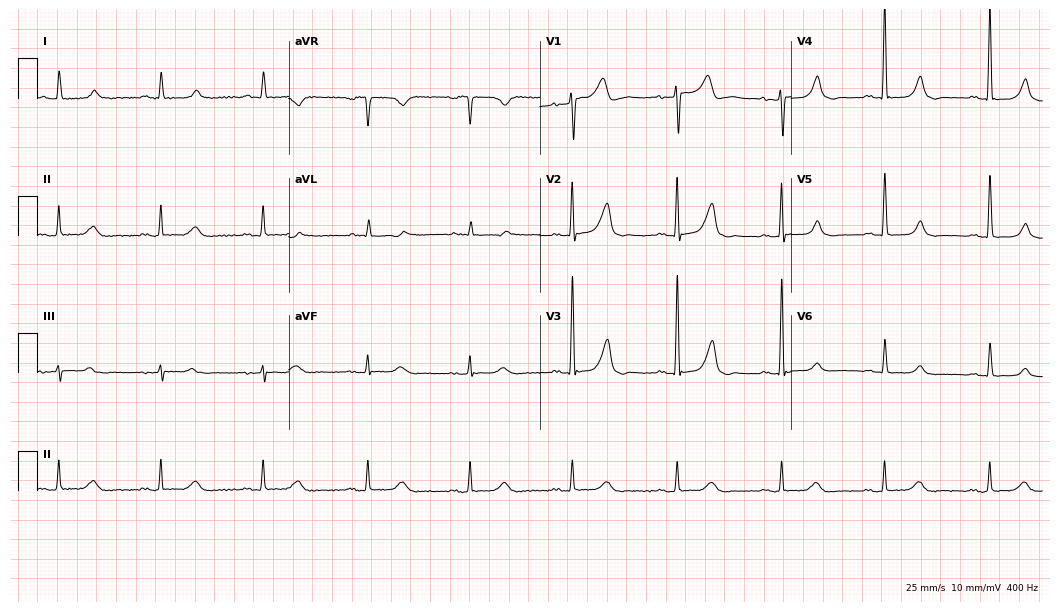
Standard 12-lead ECG recorded from an 85-year-old man. Read as a normal ECG.